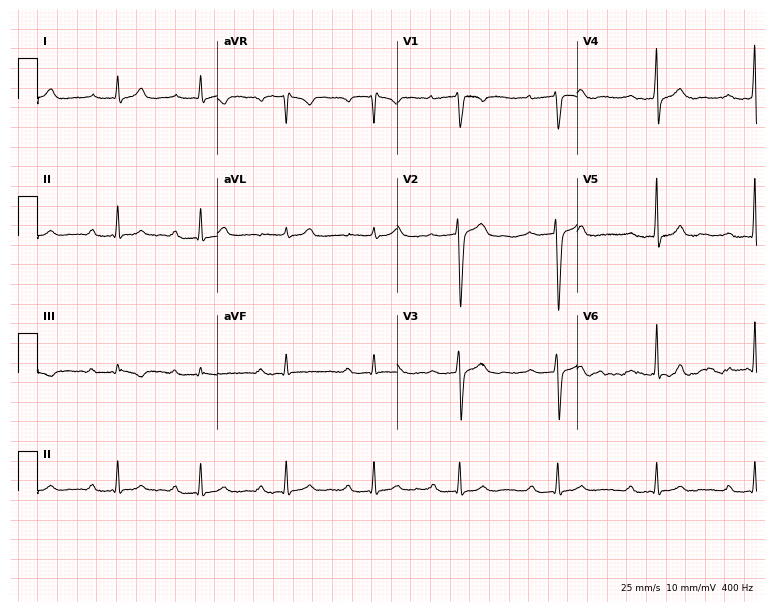
Standard 12-lead ECG recorded from a 28-year-old male patient (7.3-second recording at 400 Hz). The tracing shows first-degree AV block.